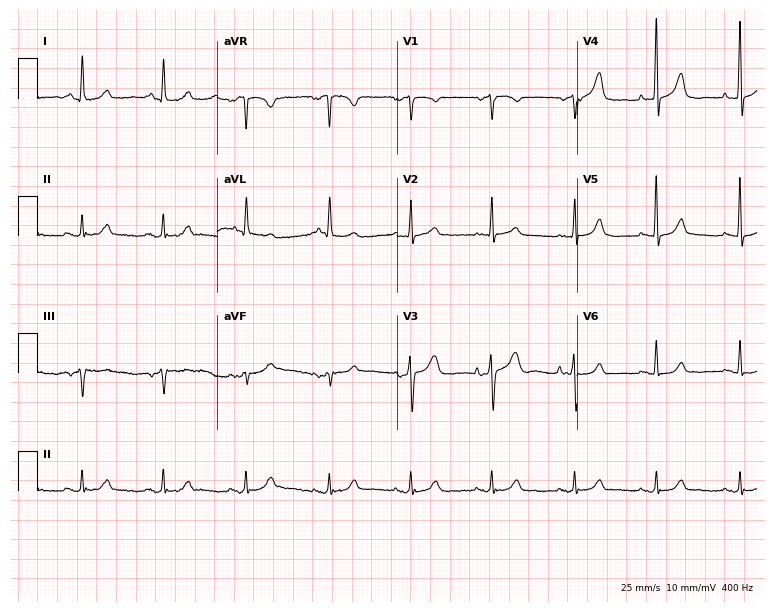
ECG — an 85-year-old woman. Labelled as a normal ECG.